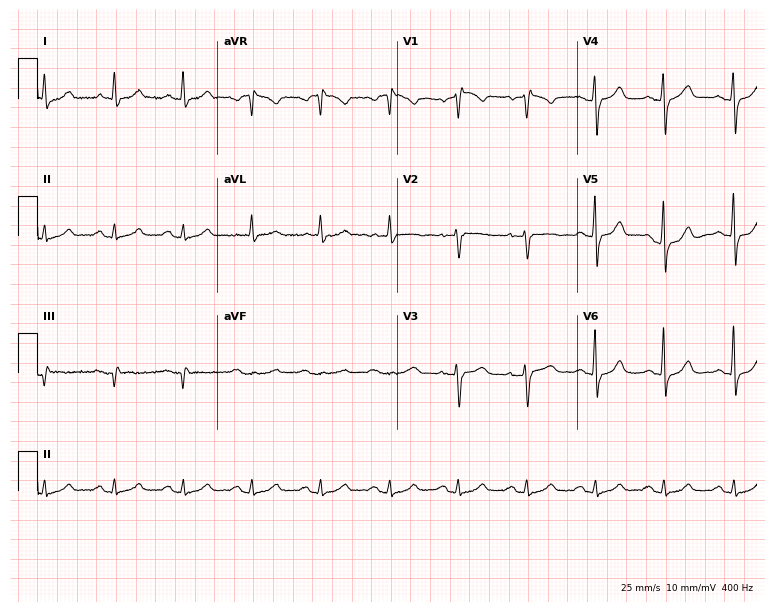
Standard 12-lead ECG recorded from a man, 71 years old. None of these six findings is recorded: first-degree AV block, right bundle branch block, left bundle branch block, sinus bradycardia, atrial fibrillation, sinus tachycardia. Findings outside these six are not listed.